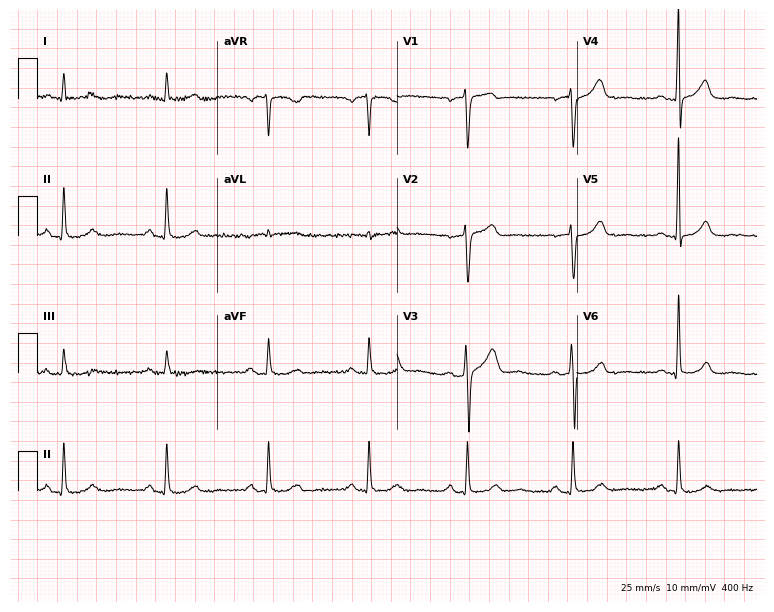
ECG (7.3-second recording at 400 Hz) — a man, 53 years old. Findings include first-degree AV block.